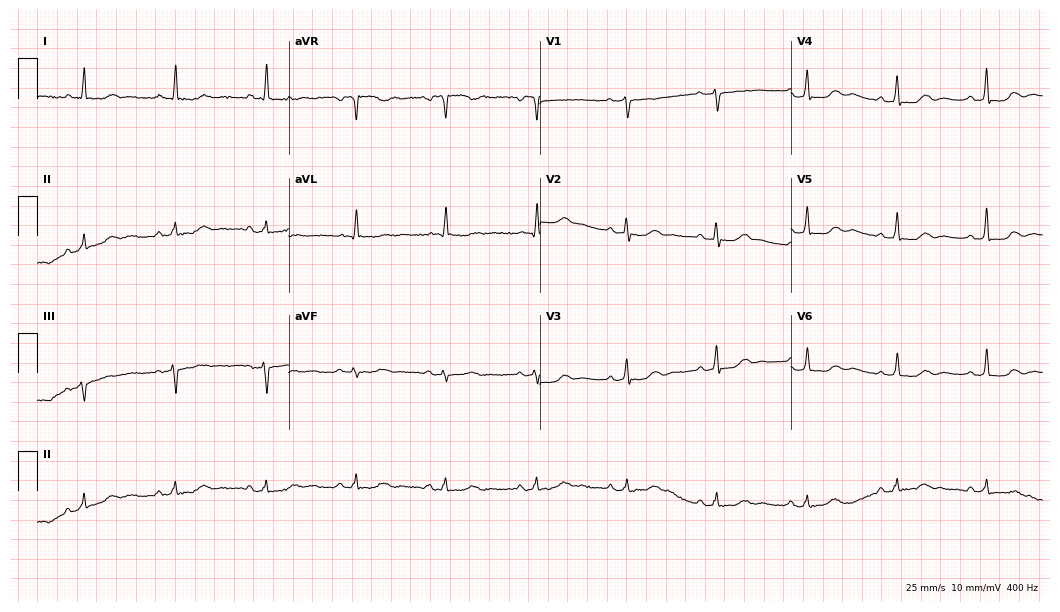
Electrocardiogram (10.2-second recording at 400 Hz), a woman, 67 years old. Of the six screened findings (first-degree AV block, right bundle branch block, left bundle branch block, sinus bradycardia, atrial fibrillation, sinus tachycardia), none is recorded.